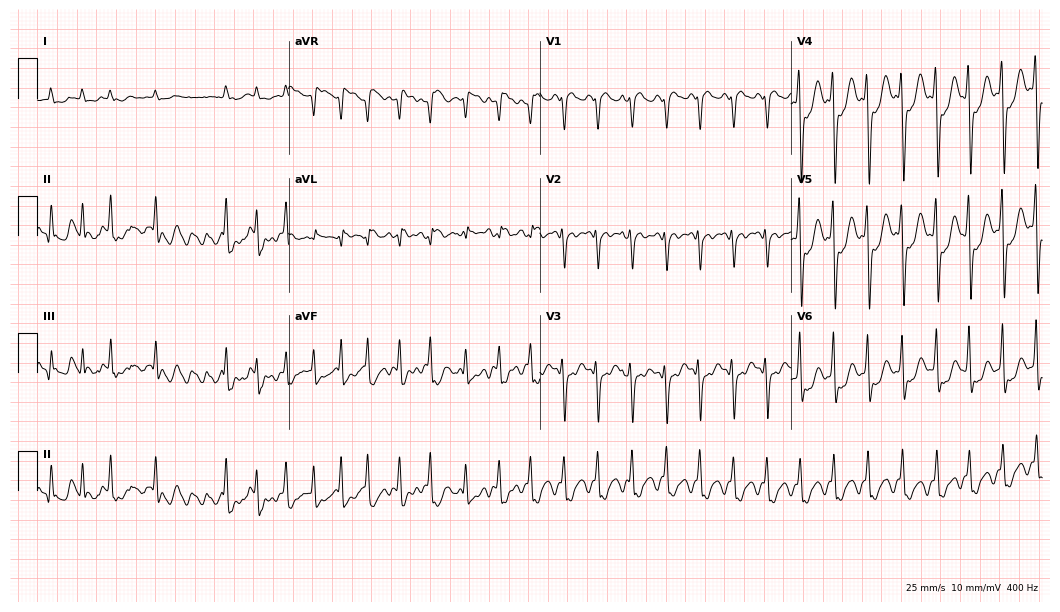
12-lead ECG from a 70-year-old male patient. Shows atrial fibrillation (AF).